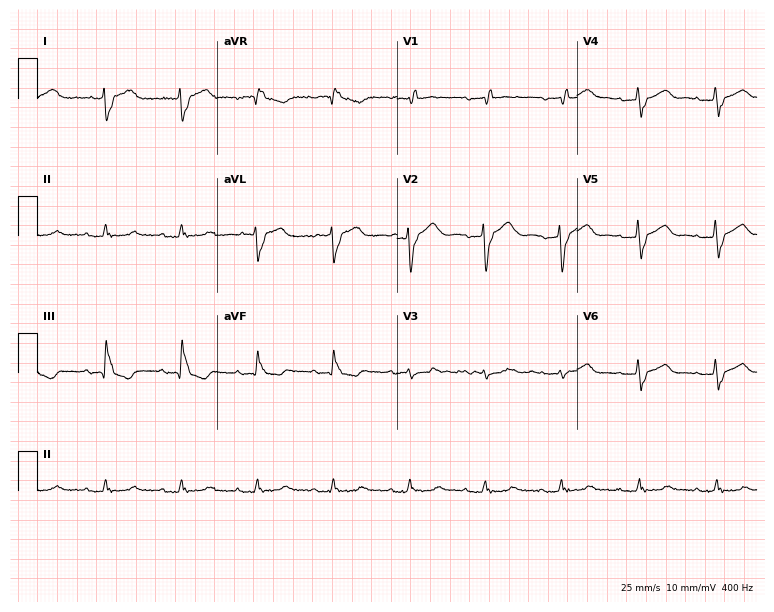
Resting 12-lead electrocardiogram. Patient: a woman aged 90 or older. The tracing shows right bundle branch block (RBBB).